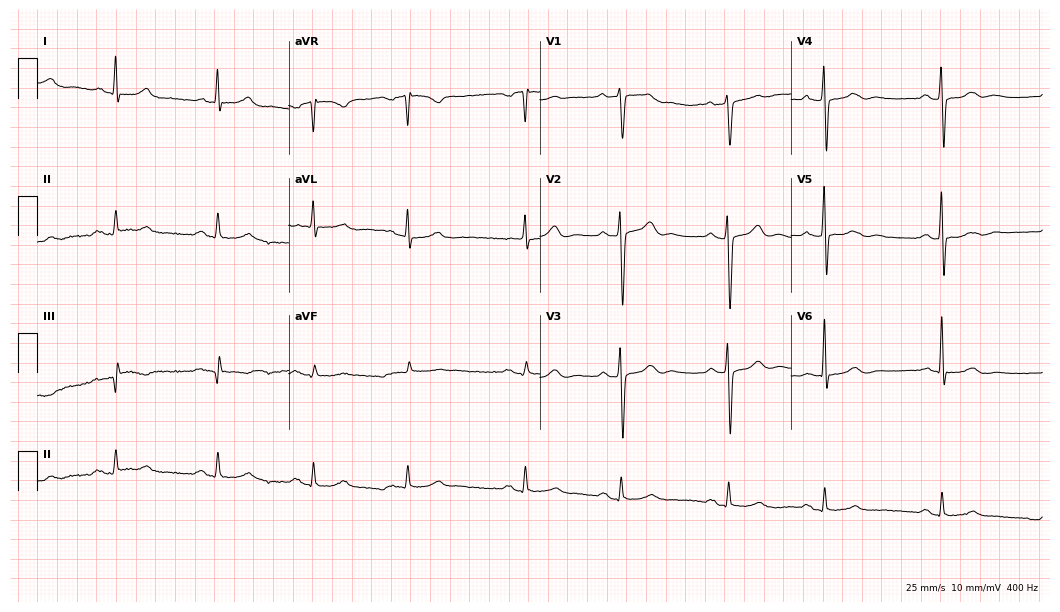
Electrocardiogram, a male, 82 years old. Of the six screened findings (first-degree AV block, right bundle branch block (RBBB), left bundle branch block (LBBB), sinus bradycardia, atrial fibrillation (AF), sinus tachycardia), none is recorded.